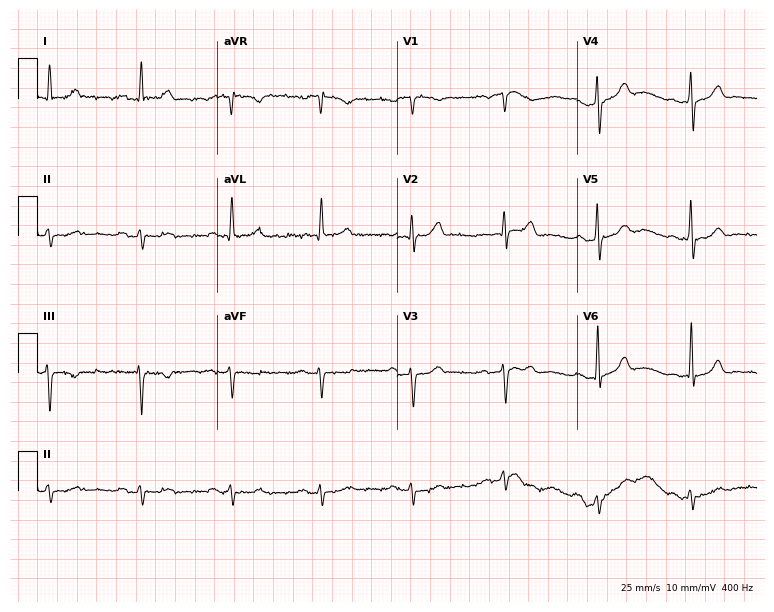
ECG — a 71-year-old female patient. Labelled as a normal ECG.